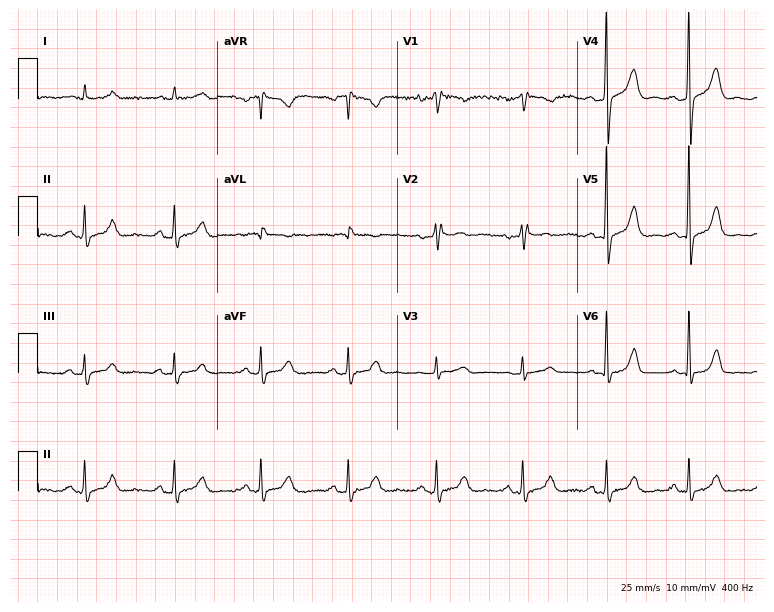
12-lead ECG from a 39-year-old man (7.3-second recording at 400 Hz). No first-degree AV block, right bundle branch block, left bundle branch block, sinus bradycardia, atrial fibrillation or sinus tachycardia recorded for this tracing. Other findings, if any, are not listed.